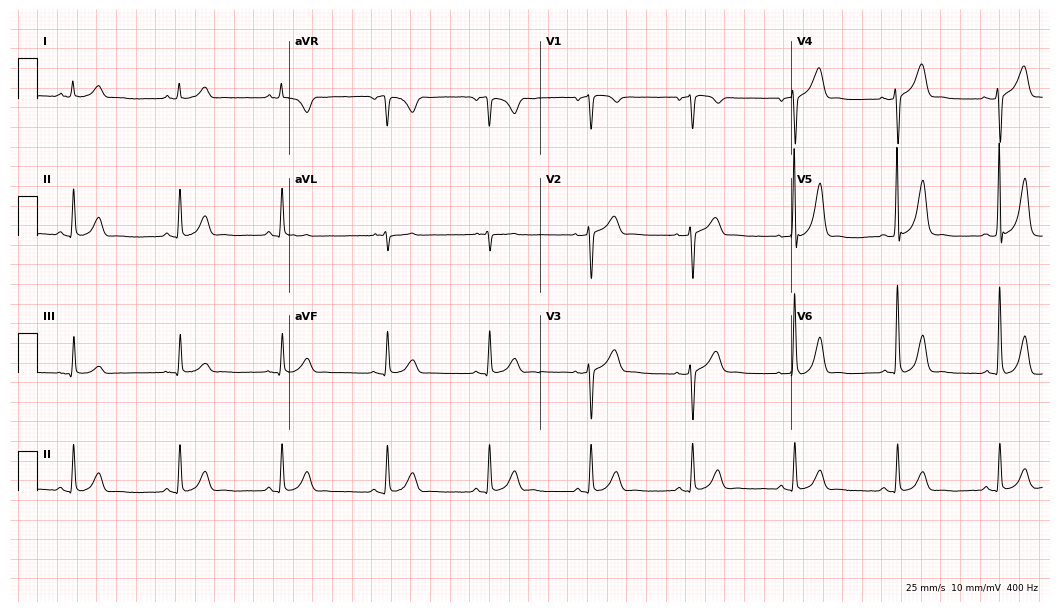
Electrocardiogram (10.2-second recording at 400 Hz), a male patient, 75 years old. Of the six screened findings (first-degree AV block, right bundle branch block, left bundle branch block, sinus bradycardia, atrial fibrillation, sinus tachycardia), none is recorded. Findings outside these six are not listed.